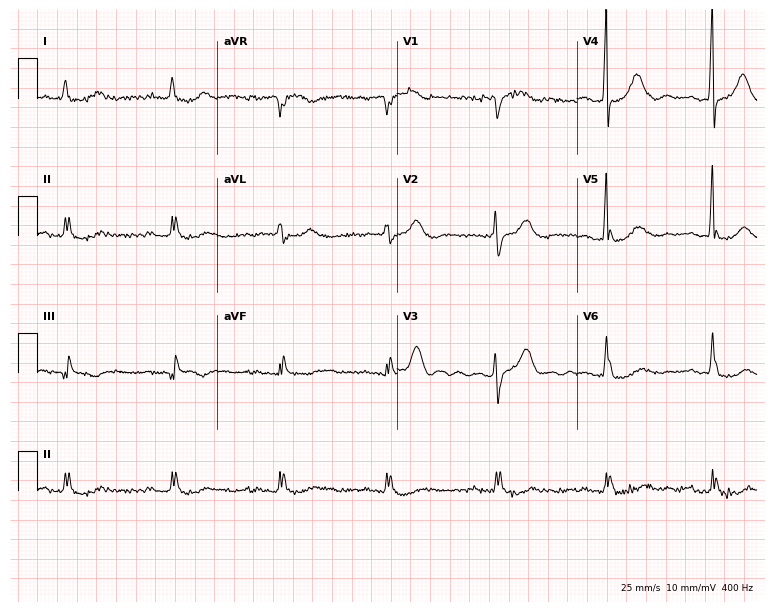
Standard 12-lead ECG recorded from an 85-year-old male patient (7.3-second recording at 400 Hz). None of these six findings is recorded: first-degree AV block, right bundle branch block (RBBB), left bundle branch block (LBBB), sinus bradycardia, atrial fibrillation (AF), sinus tachycardia. Only these six findings were labelled.